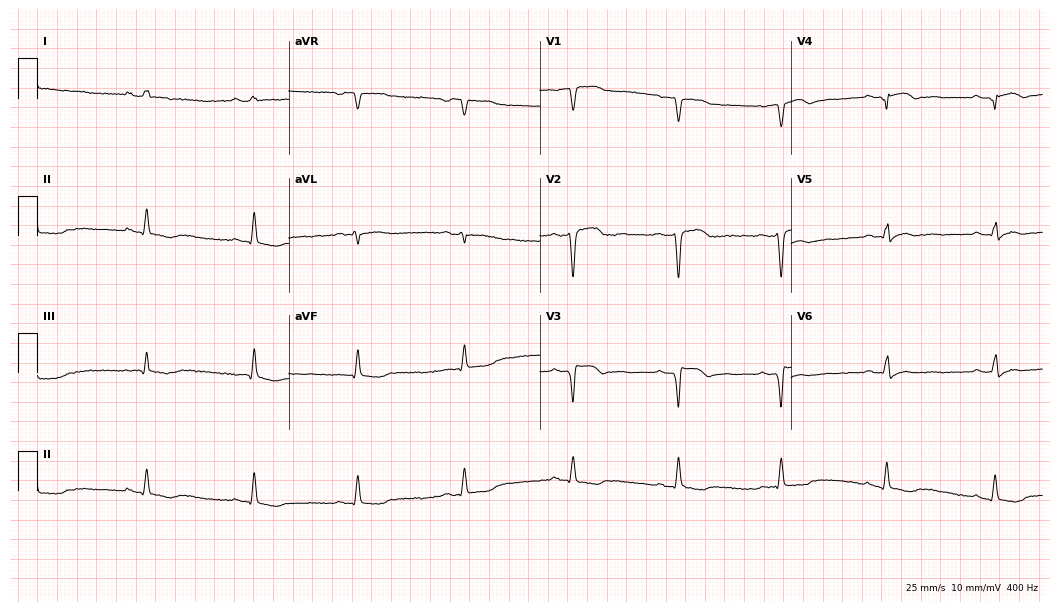
Resting 12-lead electrocardiogram. Patient: a male, 60 years old. None of these six findings is recorded: first-degree AV block, right bundle branch block, left bundle branch block, sinus bradycardia, atrial fibrillation, sinus tachycardia. Findings outside these six are not listed.